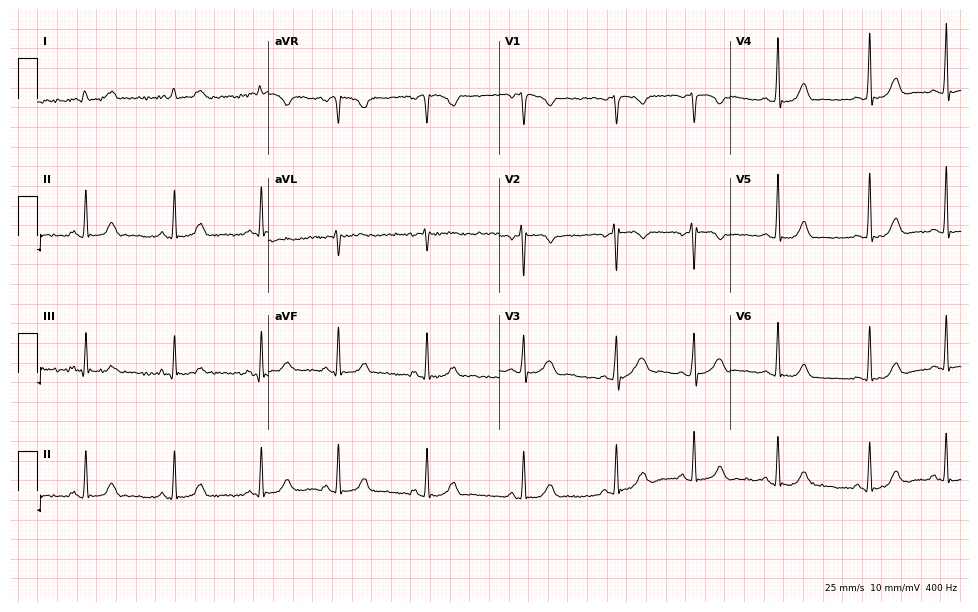
ECG — a 30-year-old female. Labelled as a normal ECG.